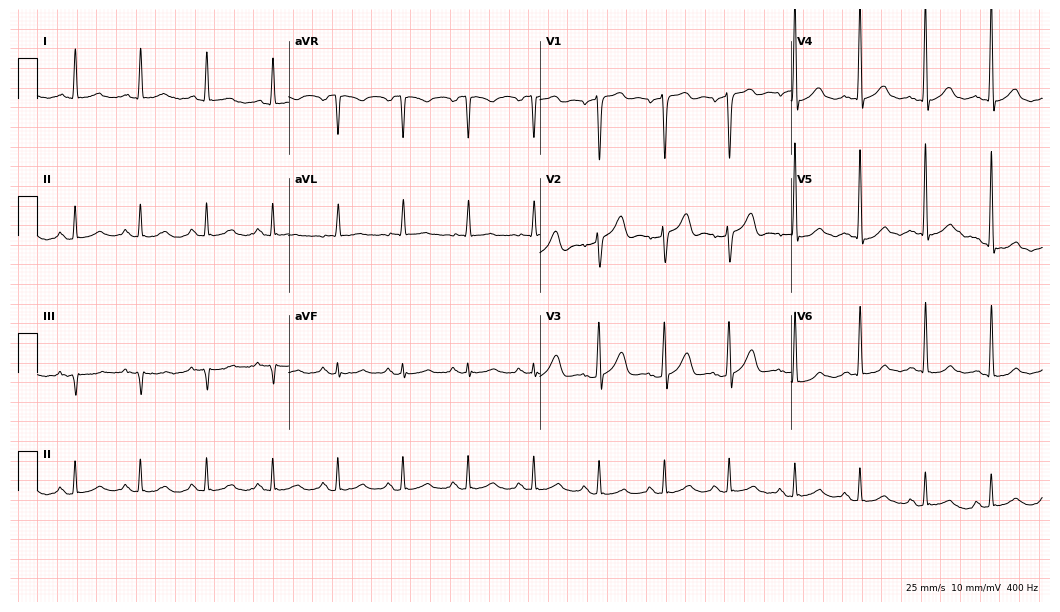
Resting 12-lead electrocardiogram. Patient: a male, 61 years old. Read as a normal ECG.